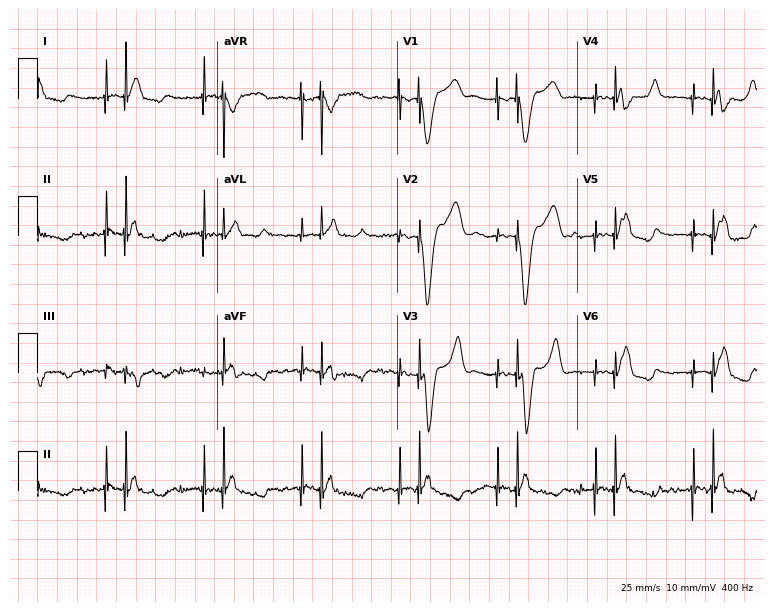
Resting 12-lead electrocardiogram. Patient: an 82-year-old male. None of these six findings is recorded: first-degree AV block, right bundle branch block, left bundle branch block, sinus bradycardia, atrial fibrillation, sinus tachycardia. Findings outside these six are not listed.